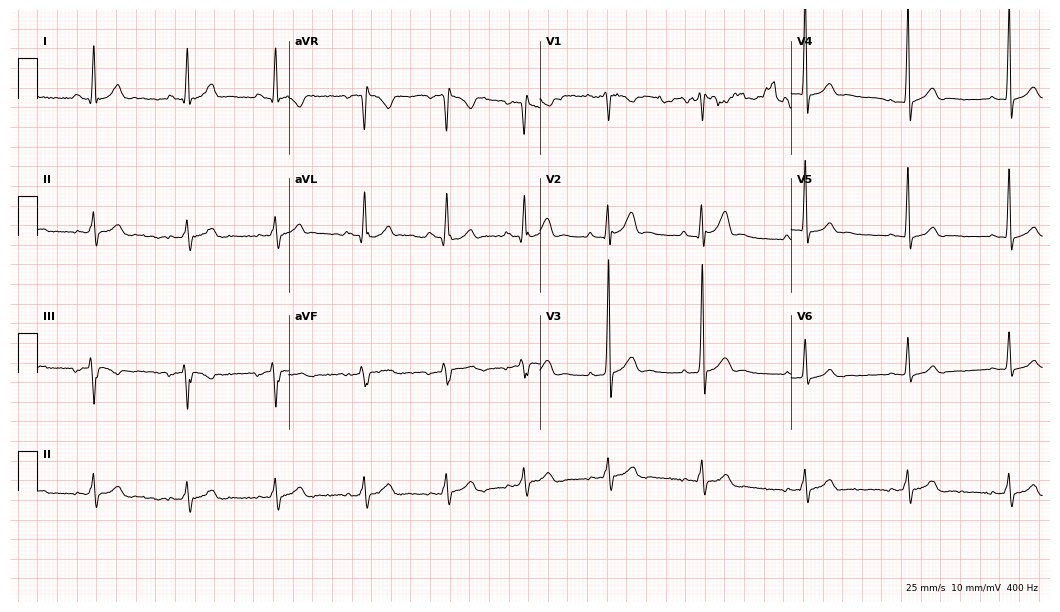
12-lead ECG (10.2-second recording at 400 Hz) from a 23-year-old man. Screened for six findings — first-degree AV block, right bundle branch block, left bundle branch block, sinus bradycardia, atrial fibrillation, sinus tachycardia — none is recorded. Only these six findings were labelled.